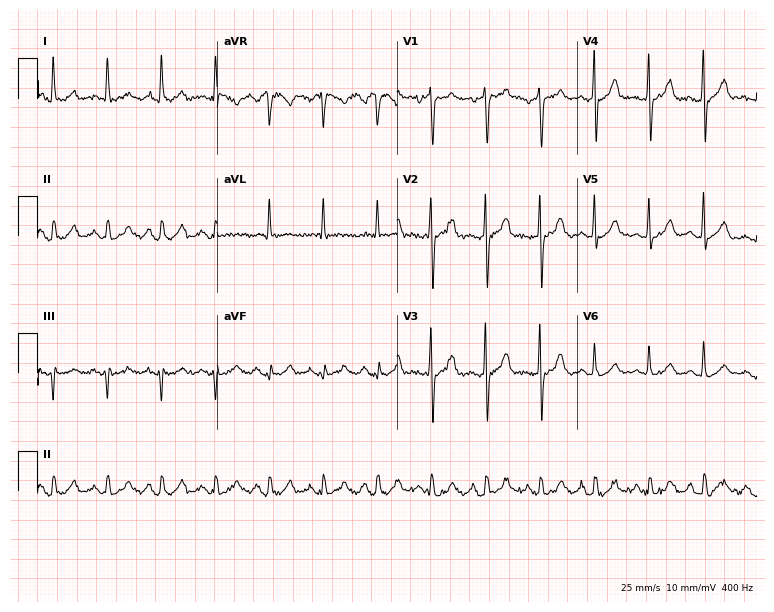
Electrocardiogram (7.3-second recording at 400 Hz), a male patient, 62 years old. Of the six screened findings (first-degree AV block, right bundle branch block, left bundle branch block, sinus bradycardia, atrial fibrillation, sinus tachycardia), none is recorded. Other findings, if any, are not listed.